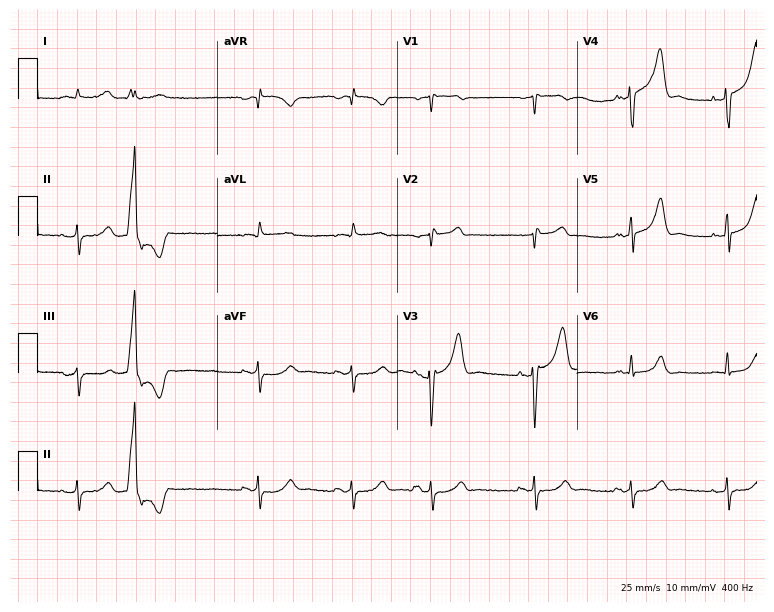
Standard 12-lead ECG recorded from a 60-year-old man. None of these six findings is recorded: first-degree AV block, right bundle branch block, left bundle branch block, sinus bradycardia, atrial fibrillation, sinus tachycardia. Findings outside these six are not listed.